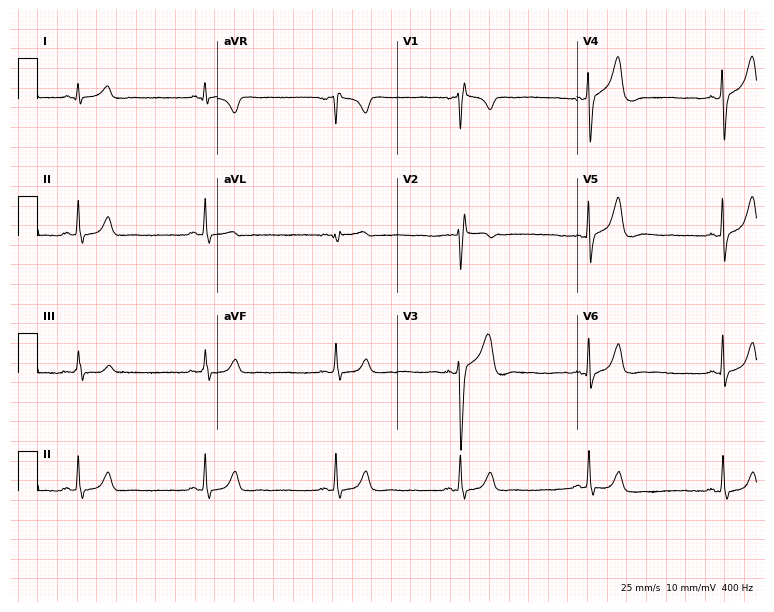
ECG (7.3-second recording at 400 Hz) — a 27-year-old man. Screened for six findings — first-degree AV block, right bundle branch block (RBBB), left bundle branch block (LBBB), sinus bradycardia, atrial fibrillation (AF), sinus tachycardia — none is recorded. Other findings, if any, are not listed.